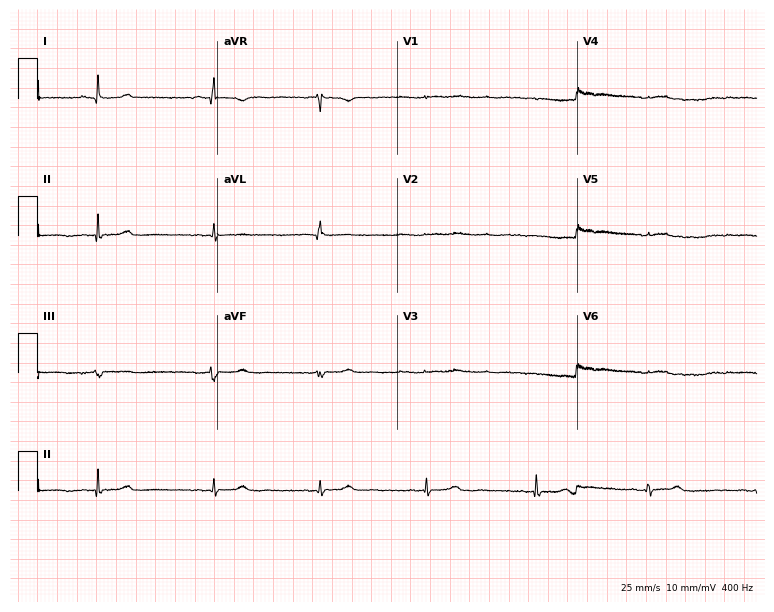
Resting 12-lead electrocardiogram (7.3-second recording at 400 Hz). Patient: a 45-year-old female. None of these six findings is recorded: first-degree AV block, right bundle branch block, left bundle branch block, sinus bradycardia, atrial fibrillation, sinus tachycardia.